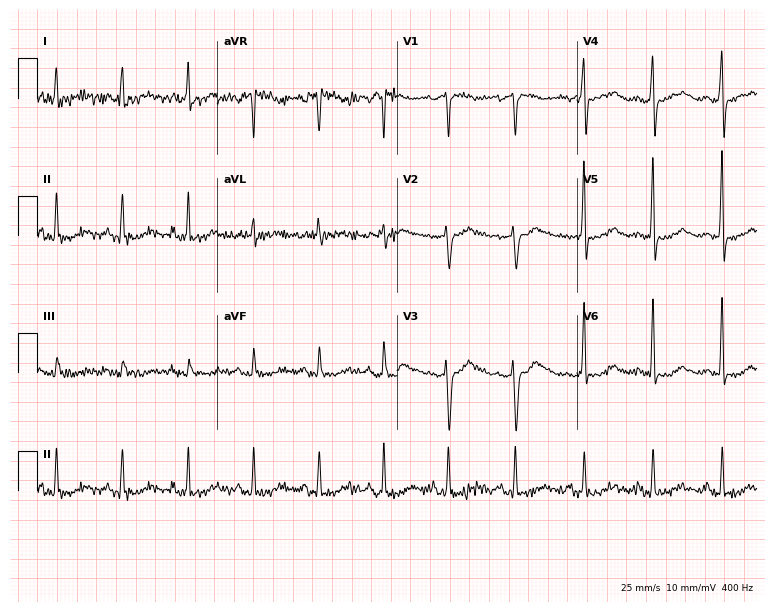
12-lead ECG (7.3-second recording at 400 Hz) from a 49-year-old female patient. Screened for six findings — first-degree AV block, right bundle branch block, left bundle branch block, sinus bradycardia, atrial fibrillation, sinus tachycardia — none is recorded.